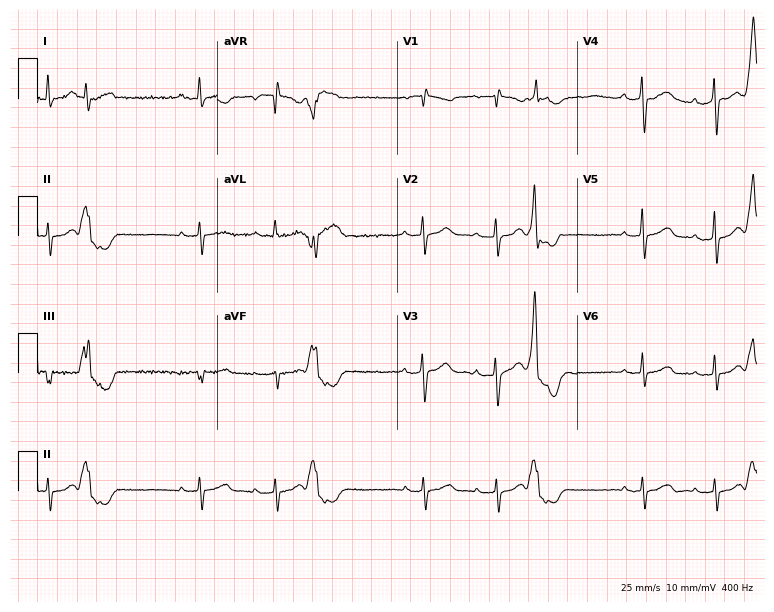
ECG — a 71-year-old woman. Screened for six findings — first-degree AV block, right bundle branch block (RBBB), left bundle branch block (LBBB), sinus bradycardia, atrial fibrillation (AF), sinus tachycardia — none is recorded. Other findings, if any, are not listed.